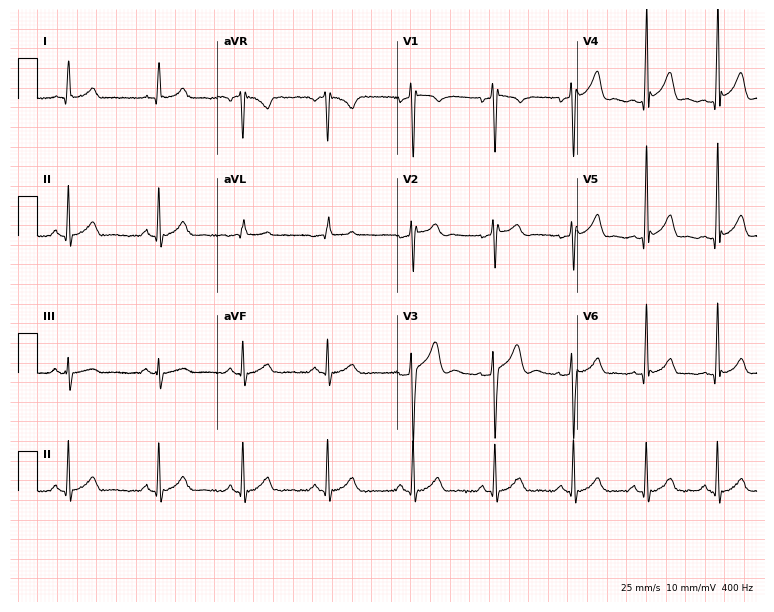
12-lead ECG (7.3-second recording at 400 Hz) from a 23-year-old male patient. Screened for six findings — first-degree AV block, right bundle branch block, left bundle branch block, sinus bradycardia, atrial fibrillation, sinus tachycardia — none is recorded. Other findings, if any, are not listed.